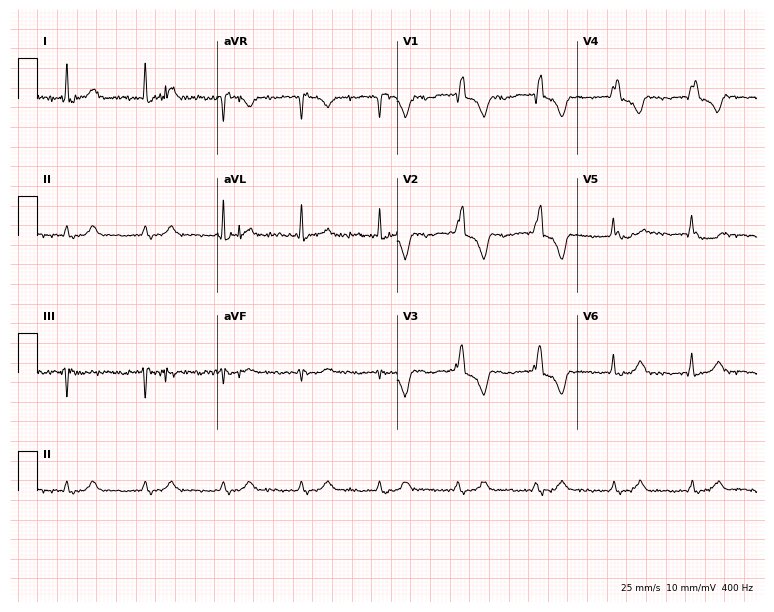
Standard 12-lead ECG recorded from a 74-year-old woman (7.3-second recording at 400 Hz). None of these six findings is recorded: first-degree AV block, right bundle branch block (RBBB), left bundle branch block (LBBB), sinus bradycardia, atrial fibrillation (AF), sinus tachycardia. Other findings, if any, are not listed.